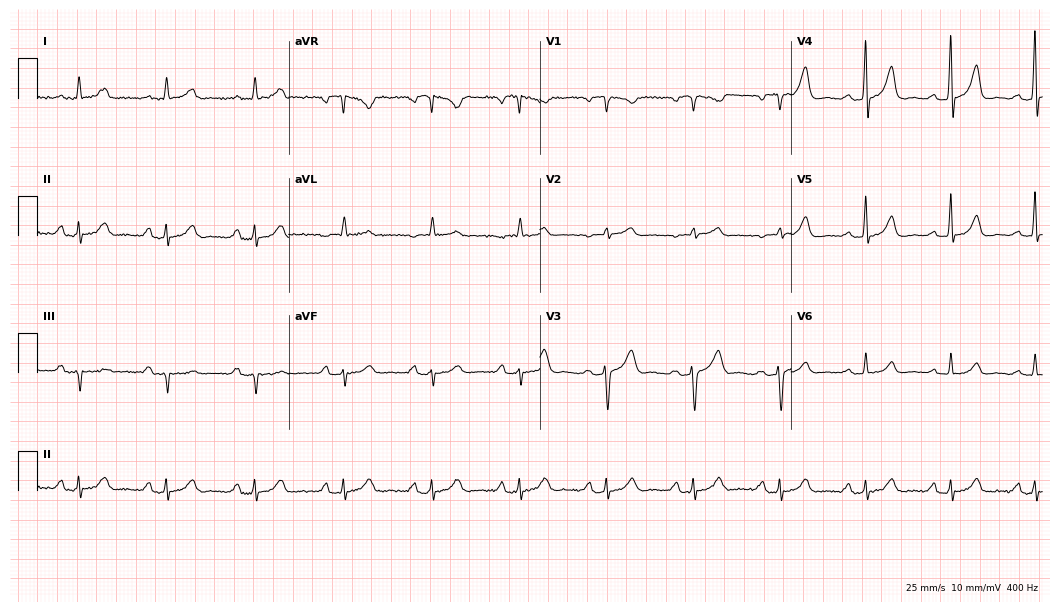
Resting 12-lead electrocardiogram (10.2-second recording at 400 Hz). Patient: a female, 55 years old. Read as a normal ECG.